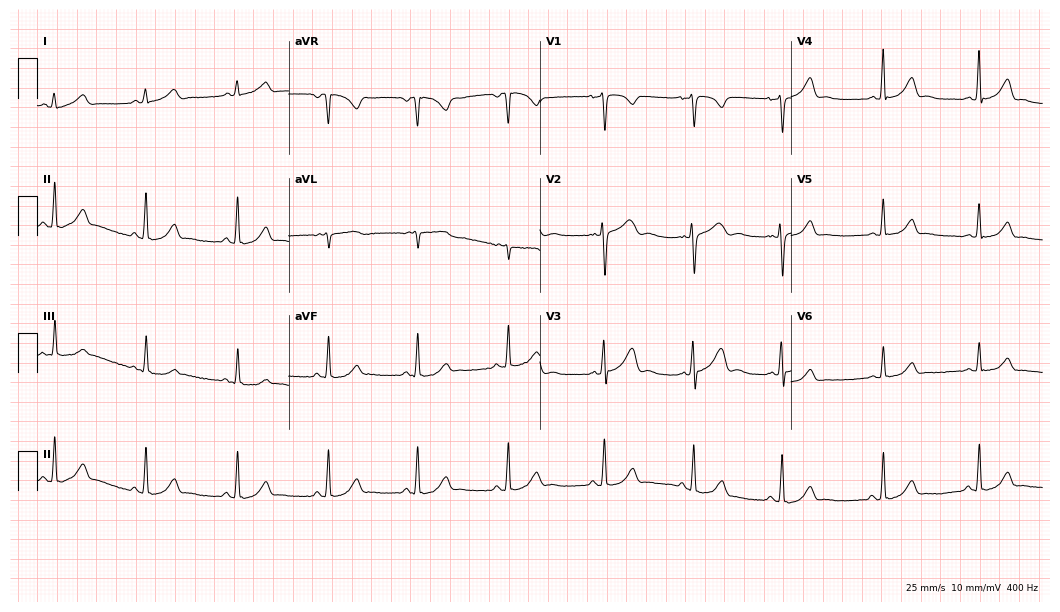
12-lead ECG (10.2-second recording at 400 Hz) from a 29-year-old woman. Screened for six findings — first-degree AV block, right bundle branch block, left bundle branch block, sinus bradycardia, atrial fibrillation, sinus tachycardia — none is recorded.